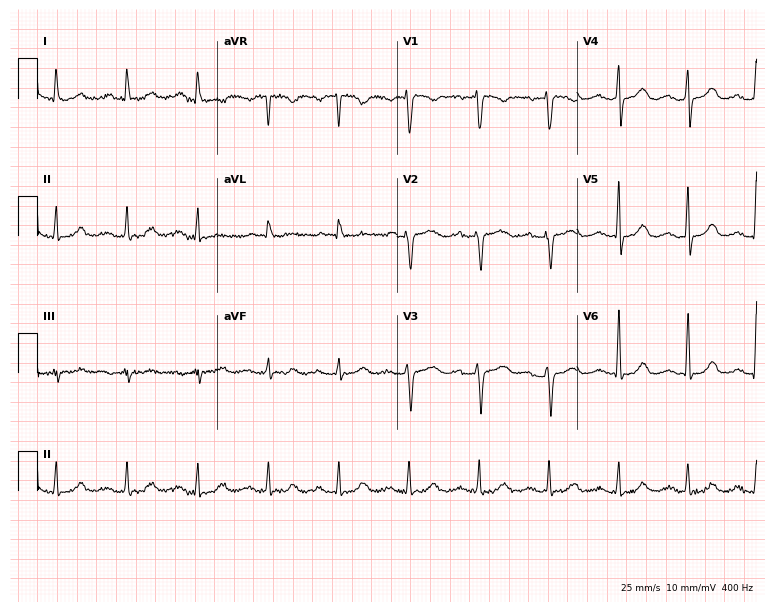
Resting 12-lead electrocardiogram. Patient: a female, 64 years old. Read as a normal ECG.